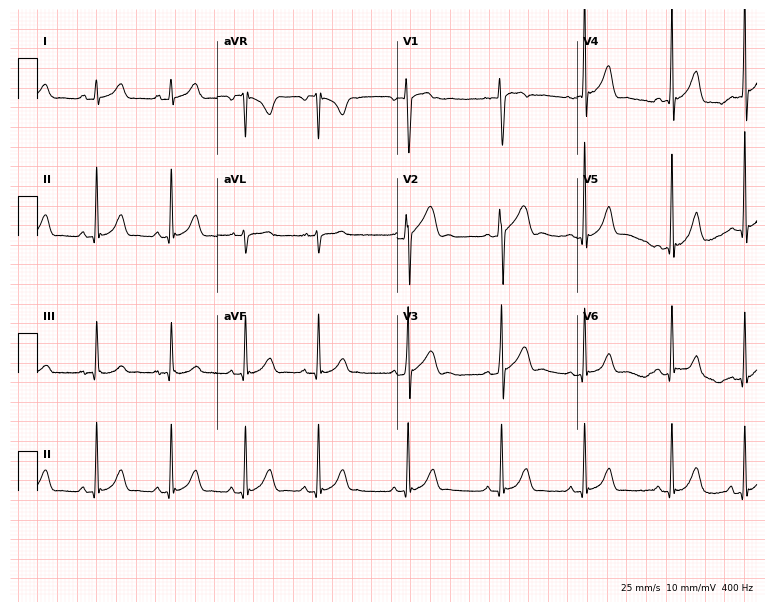
12-lead ECG from a 17-year-old male patient (7.3-second recording at 400 Hz). Recorded interpretation: within normal limits.